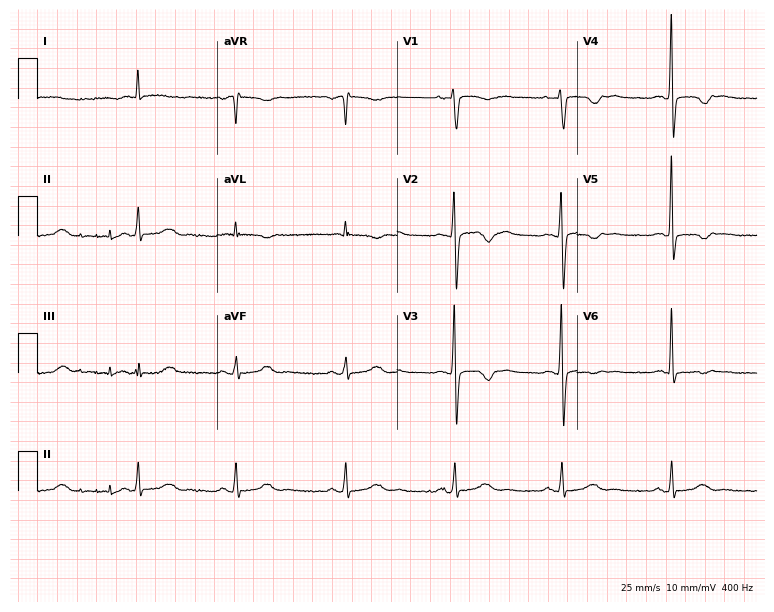
Standard 12-lead ECG recorded from a 58-year-old female patient. None of these six findings is recorded: first-degree AV block, right bundle branch block (RBBB), left bundle branch block (LBBB), sinus bradycardia, atrial fibrillation (AF), sinus tachycardia.